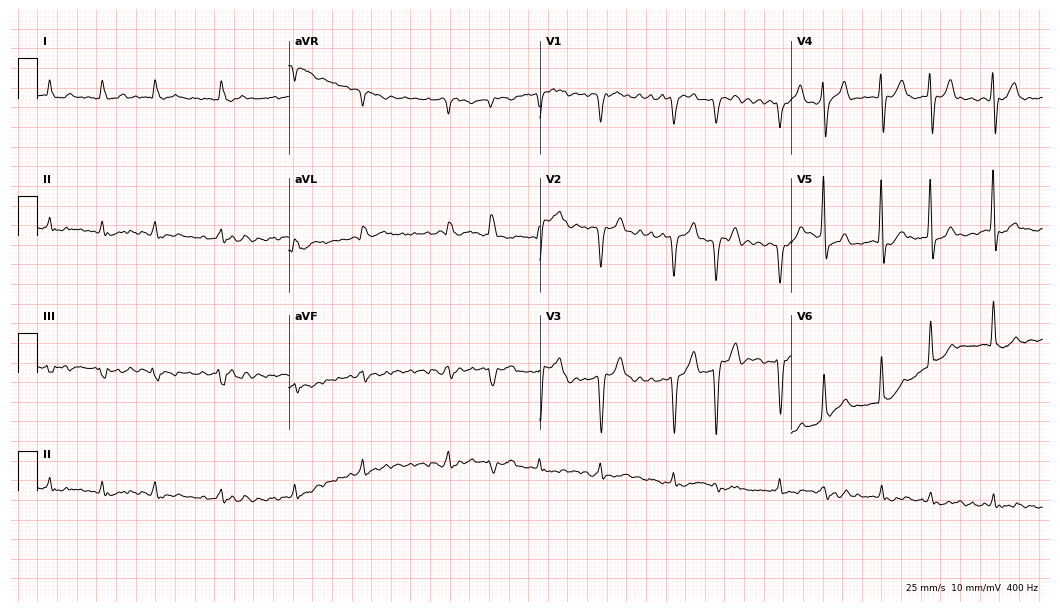
Standard 12-lead ECG recorded from a male, 62 years old (10.2-second recording at 400 Hz). The tracing shows atrial fibrillation.